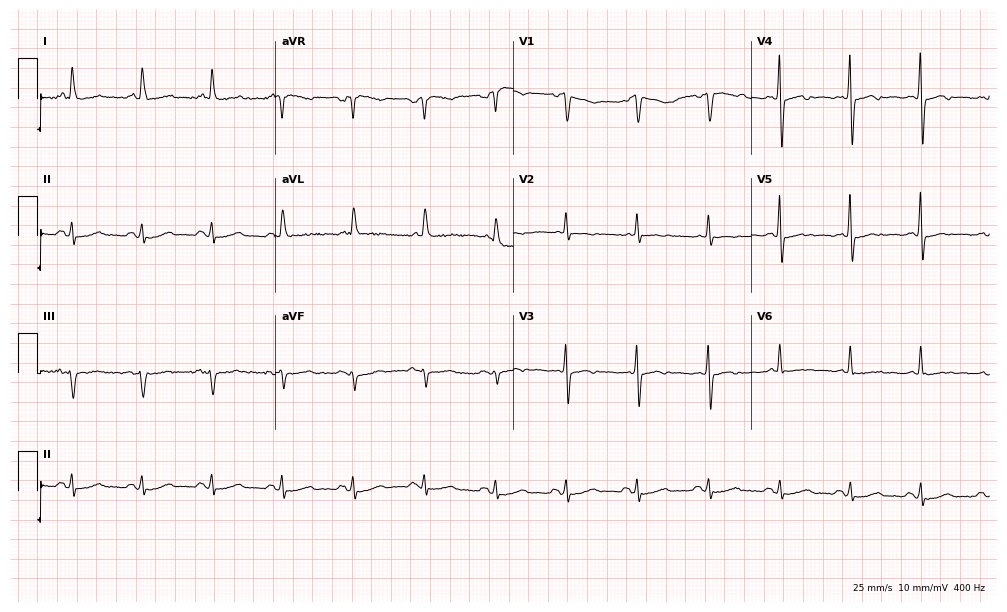
Electrocardiogram, a 68-year-old female. Of the six screened findings (first-degree AV block, right bundle branch block (RBBB), left bundle branch block (LBBB), sinus bradycardia, atrial fibrillation (AF), sinus tachycardia), none is recorded.